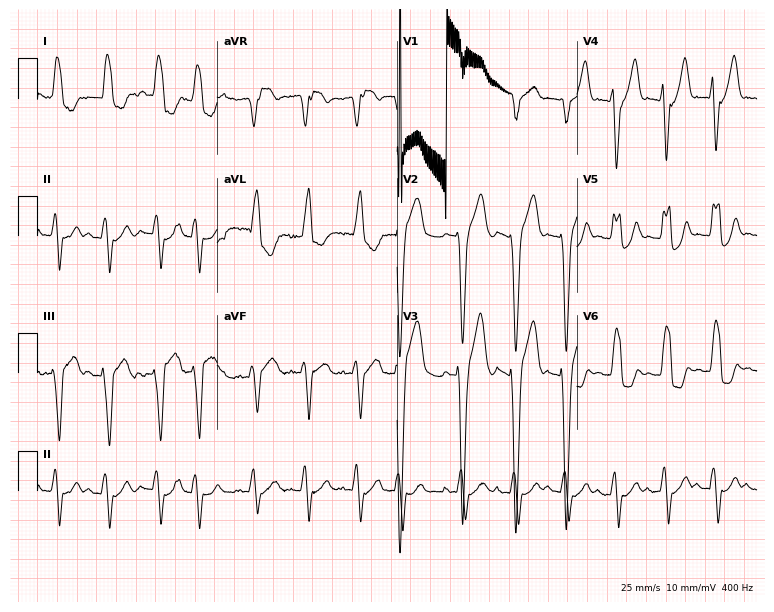
12-lead ECG from an 84-year-old male patient. Shows left bundle branch block, sinus tachycardia (a sinus rate of 100 beats per minute or more).